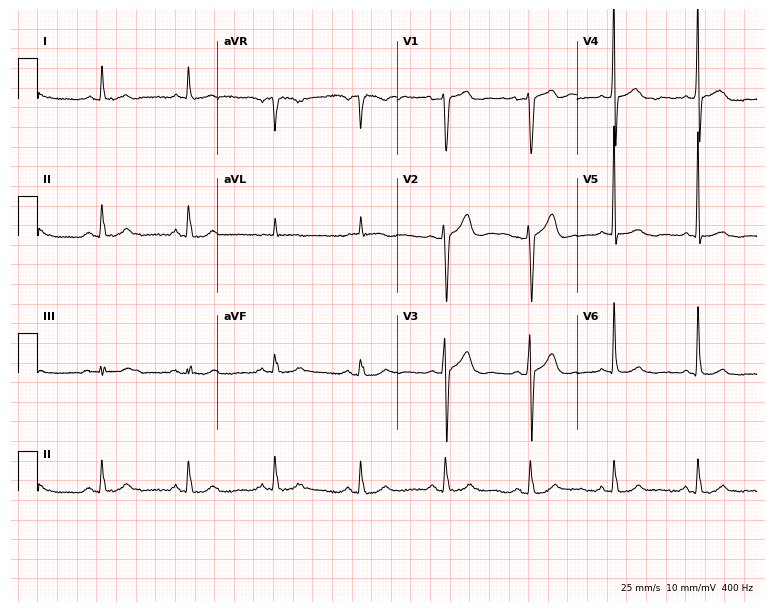
Electrocardiogram, a man, 81 years old. Of the six screened findings (first-degree AV block, right bundle branch block, left bundle branch block, sinus bradycardia, atrial fibrillation, sinus tachycardia), none is recorded. Only these six findings were labelled.